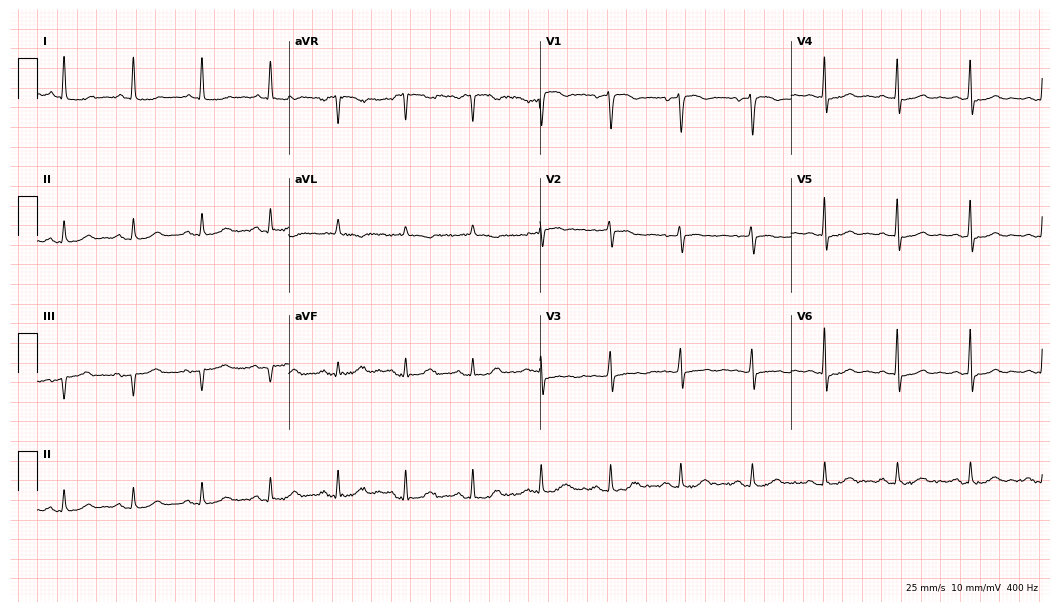
Standard 12-lead ECG recorded from a 71-year-old woman. None of these six findings is recorded: first-degree AV block, right bundle branch block, left bundle branch block, sinus bradycardia, atrial fibrillation, sinus tachycardia.